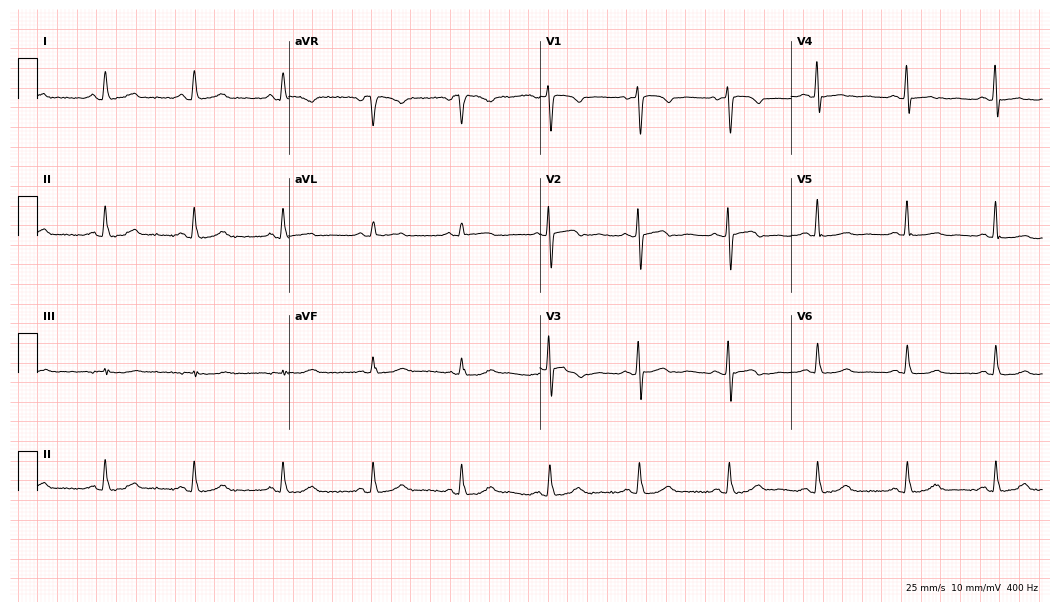
12-lead ECG from a woman, 61 years old. No first-degree AV block, right bundle branch block, left bundle branch block, sinus bradycardia, atrial fibrillation or sinus tachycardia recorded for this tracing.